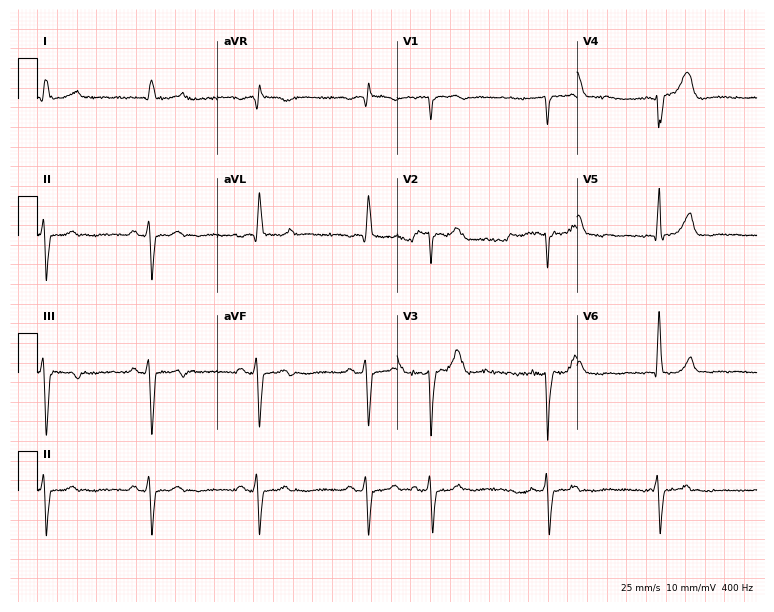
12-lead ECG from a male, 77 years old. Screened for six findings — first-degree AV block, right bundle branch block, left bundle branch block, sinus bradycardia, atrial fibrillation, sinus tachycardia — none is recorded. Findings outside these six are not listed.